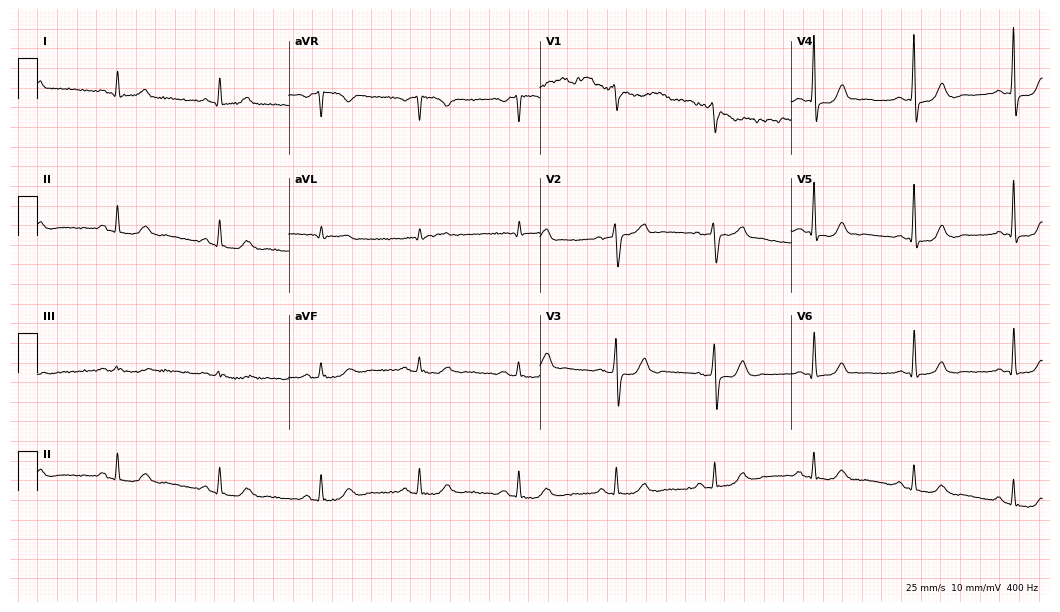
12-lead ECG (10.2-second recording at 400 Hz) from a male patient, 70 years old. Labelled as a normal ECG.